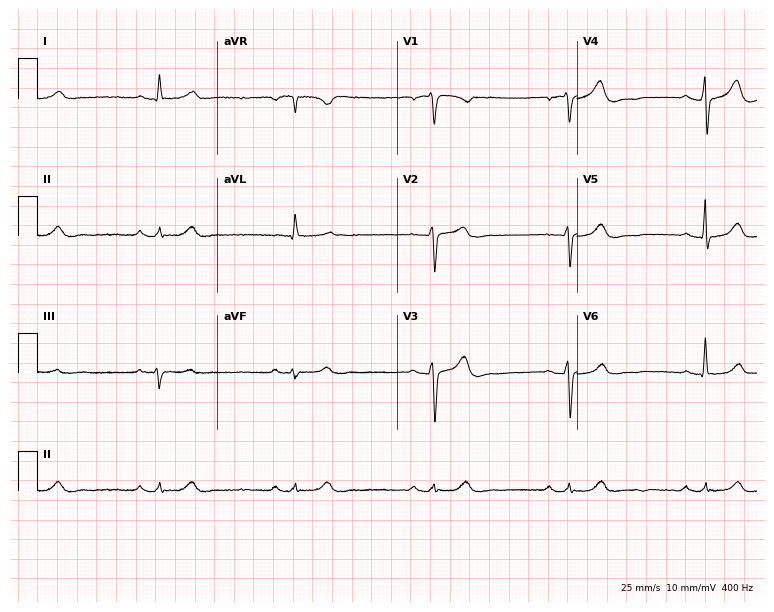
12-lead ECG from a man, 58 years old (7.3-second recording at 400 Hz). Shows sinus bradycardia (a sinus rate of 50 beats per minute or less).